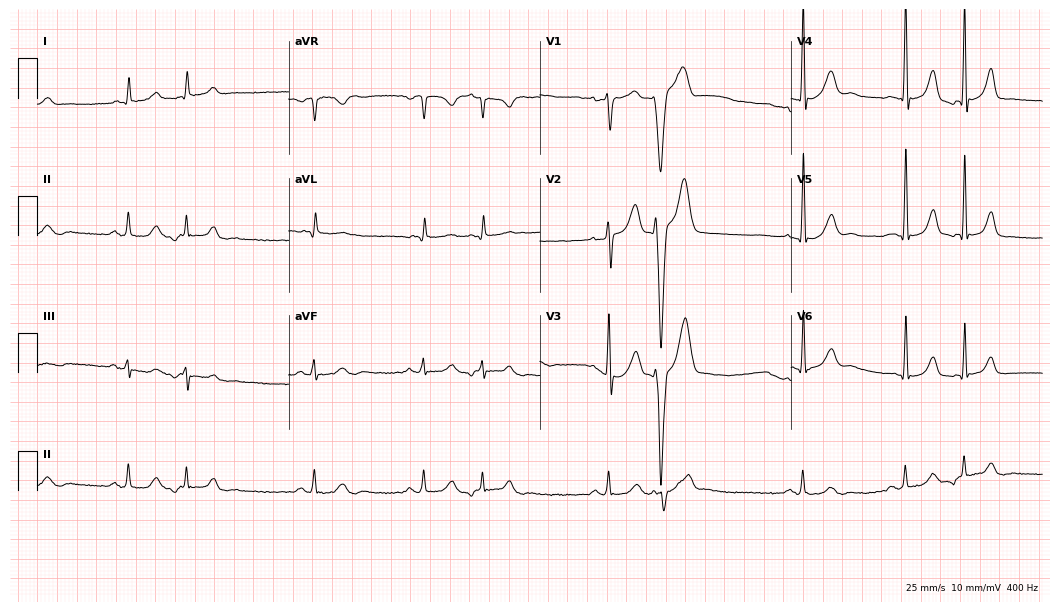
12-lead ECG (10.2-second recording at 400 Hz) from a 79-year-old male patient. Screened for six findings — first-degree AV block, right bundle branch block, left bundle branch block, sinus bradycardia, atrial fibrillation, sinus tachycardia — none is recorded.